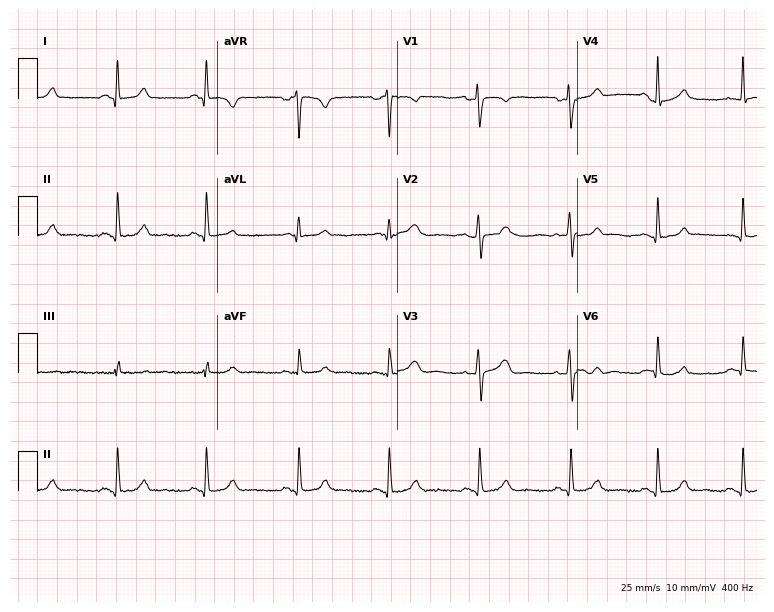
ECG — a female, 32 years old. Labelled as a normal ECG.